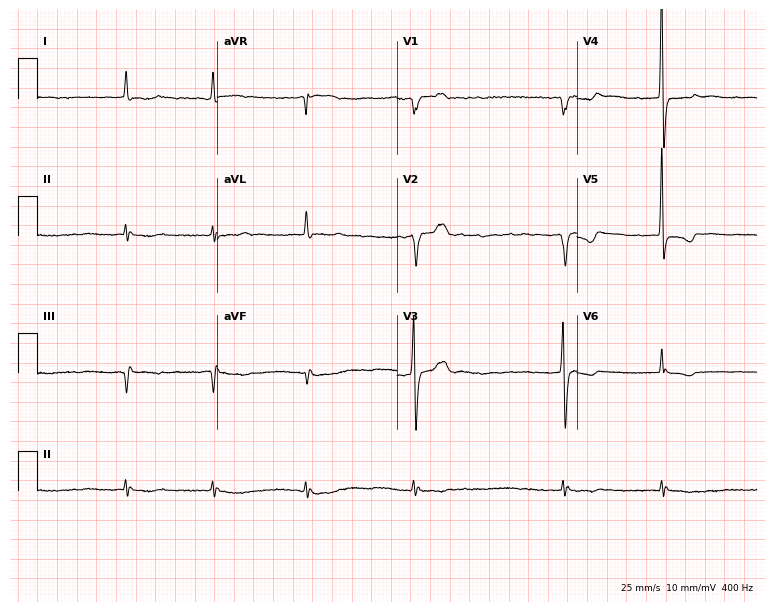
12-lead ECG from a male patient, 86 years old. Shows atrial fibrillation.